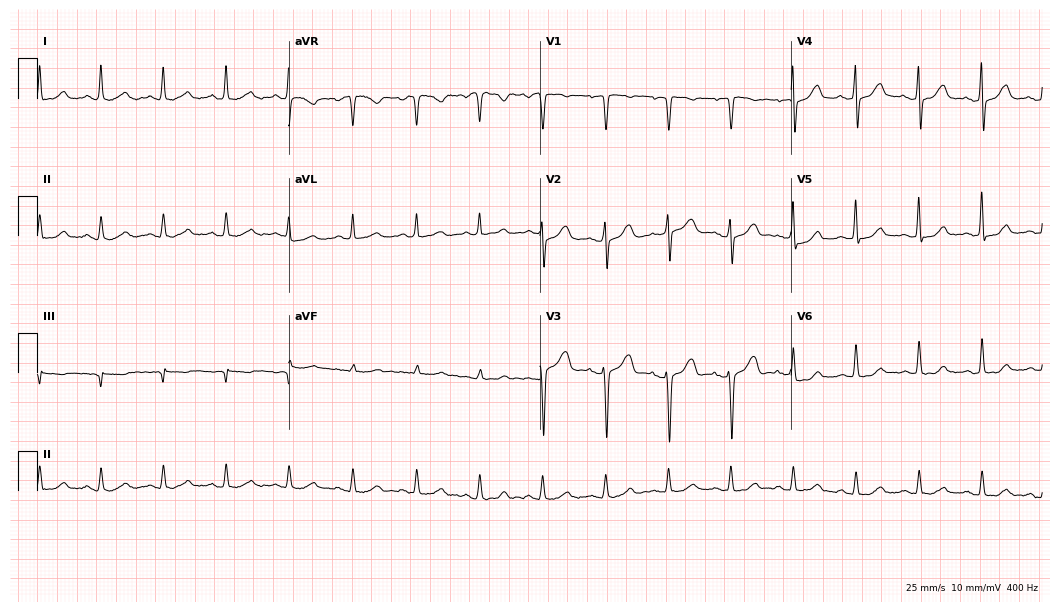
12-lead ECG from a 49-year-old female patient (10.2-second recording at 400 Hz). Recorded interpretation: within normal limits.